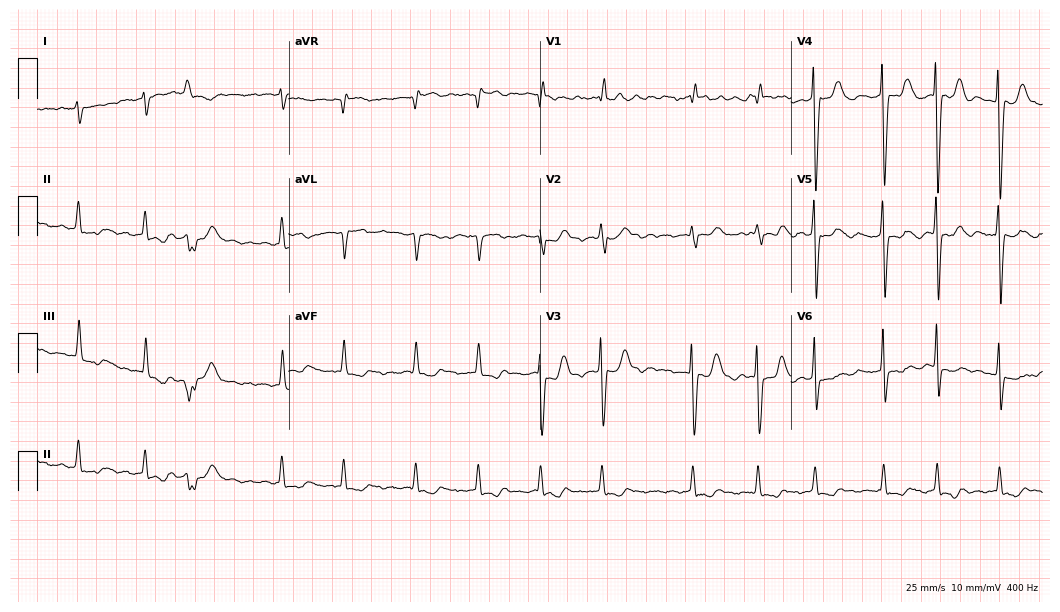
Resting 12-lead electrocardiogram (10.2-second recording at 400 Hz). Patient: a female, 68 years old. The tracing shows atrial fibrillation.